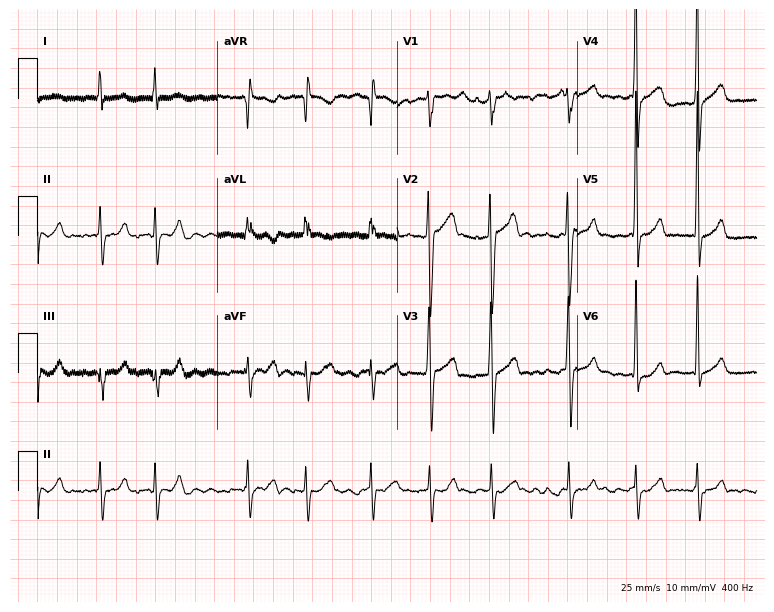
12-lead ECG from a 27-year-old man (7.3-second recording at 400 Hz). No first-degree AV block, right bundle branch block, left bundle branch block, sinus bradycardia, atrial fibrillation or sinus tachycardia recorded for this tracing.